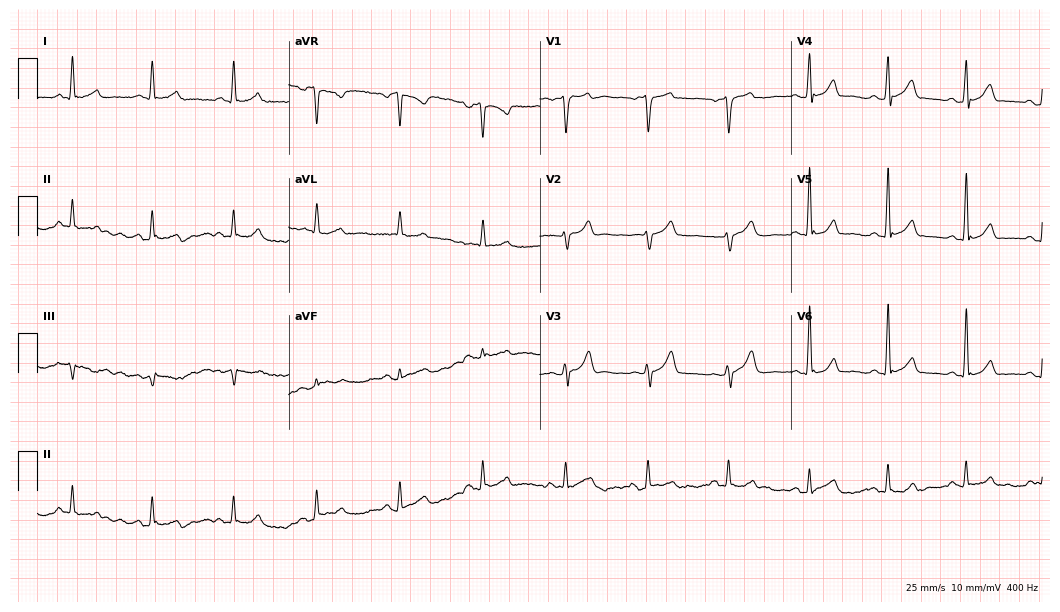
12-lead ECG (10.2-second recording at 400 Hz) from a 71-year-old man. Screened for six findings — first-degree AV block, right bundle branch block (RBBB), left bundle branch block (LBBB), sinus bradycardia, atrial fibrillation (AF), sinus tachycardia — none is recorded. Other findings, if any, are not listed.